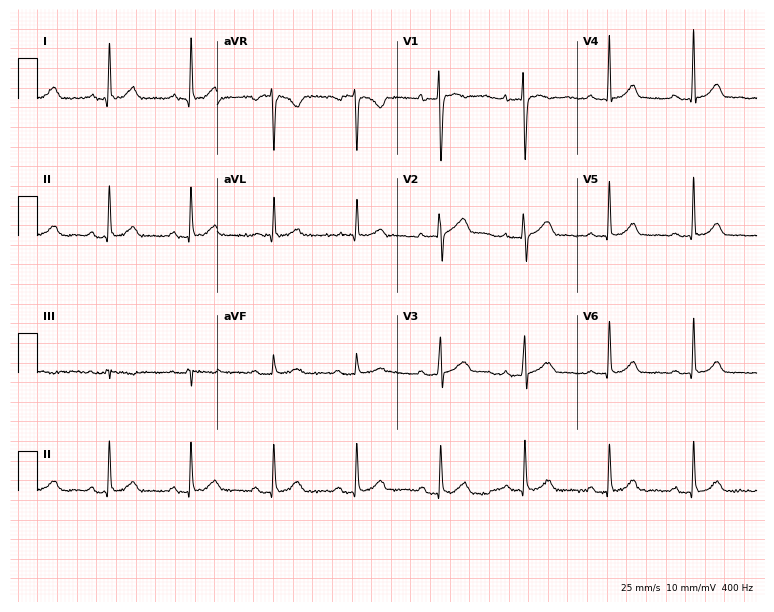
Standard 12-lead ECG recorded from a female, 39 years old (7.3-second recording at 400 Hz). Read as a normal ECG.